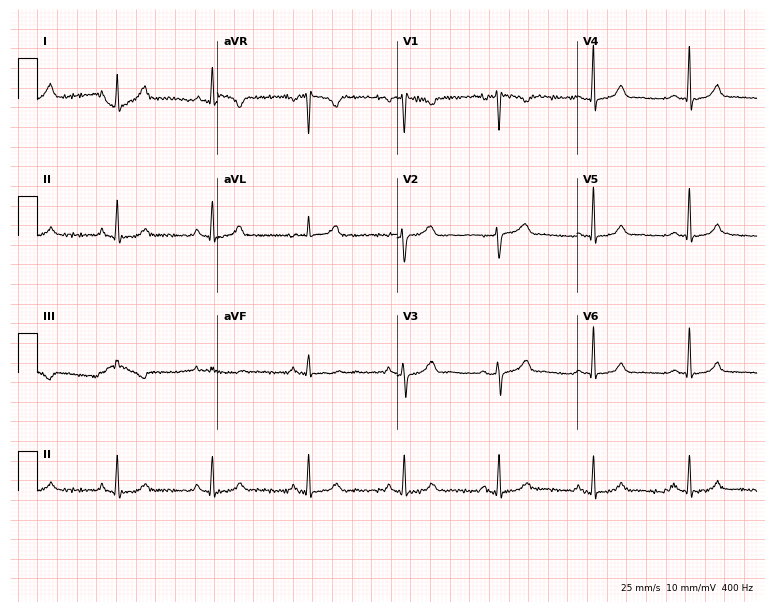
ECG (7.3-second recording at 400 Hz) — a female patient, 42 years old. Screened for six findings — first-degree AV block, right bundle branch block, left bundle branch block, sinus bradycardia, atrial fibrillation, sinus tachycardia — none is recorded. Other findings, if any, are not listed.